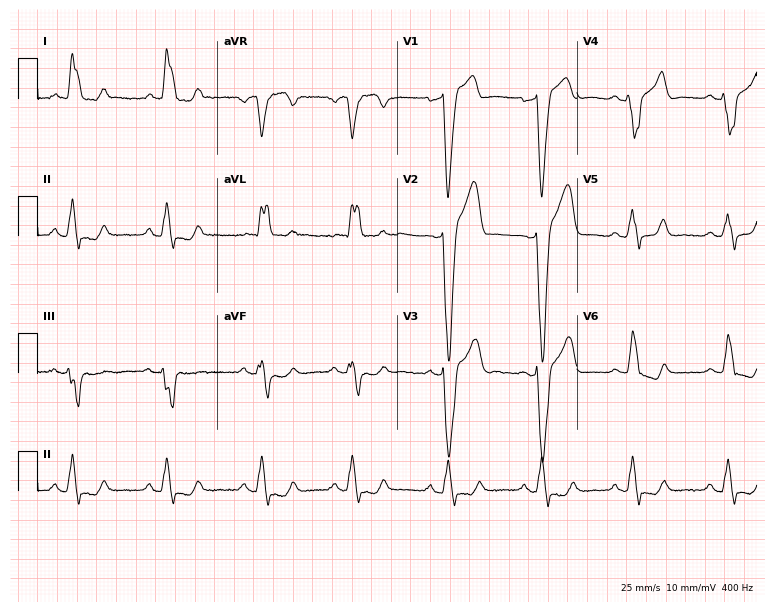
Resting 12-lead electrocardiogram (7.3-second recording at 400 Hz). Patient: a 65-year-old male. The tracing shows left bundle branch block.